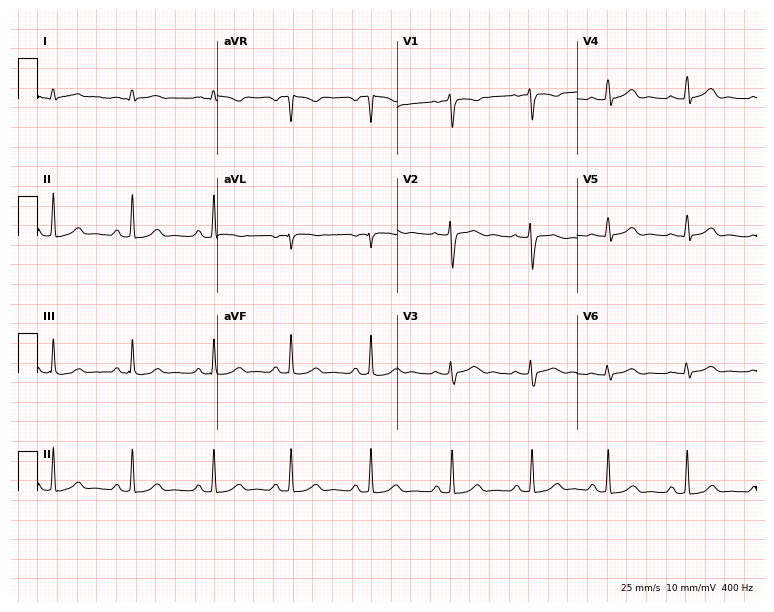
12-lead ECG from a 22-year-old woman (7.3-second recording at 400 Hz). No first-degree AV block, right bundle branch block, left bundle branch block, sinus bradycardia, atrial fibrillation or sinus tachycardia recorded for this tracing. Other findings, if any, are not listed.